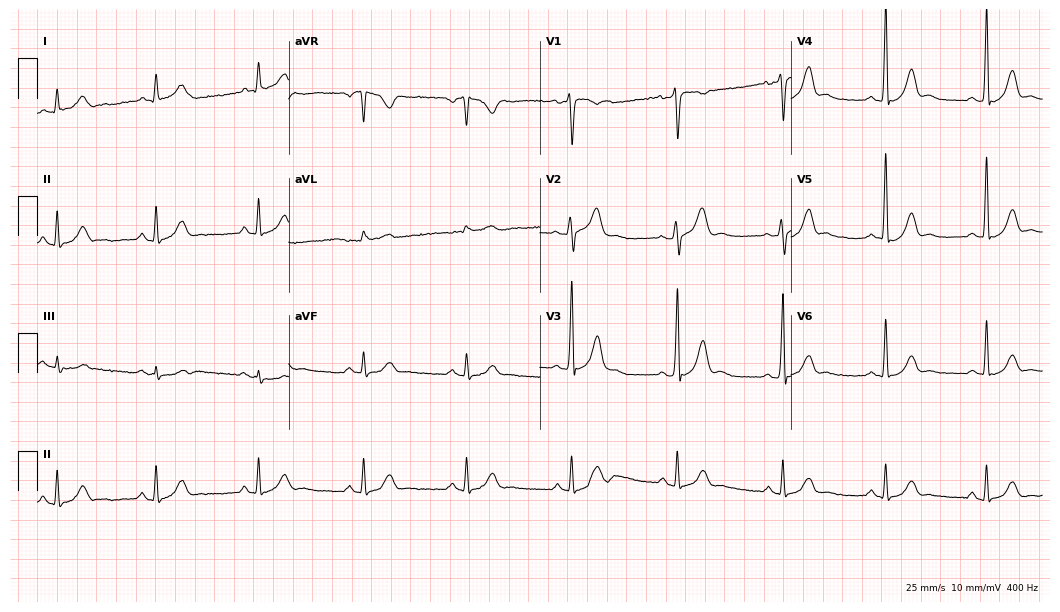
Resting 12-lead electrocardiogram (10.2-second recording at 400 Hz). Patient: a 33-year-old male. None of these six findings is recorded: first-degree AV block, right bundle branch block, left bundle branch block, sinus bradycardia, atrial fibrillation, sinus tachycardia.